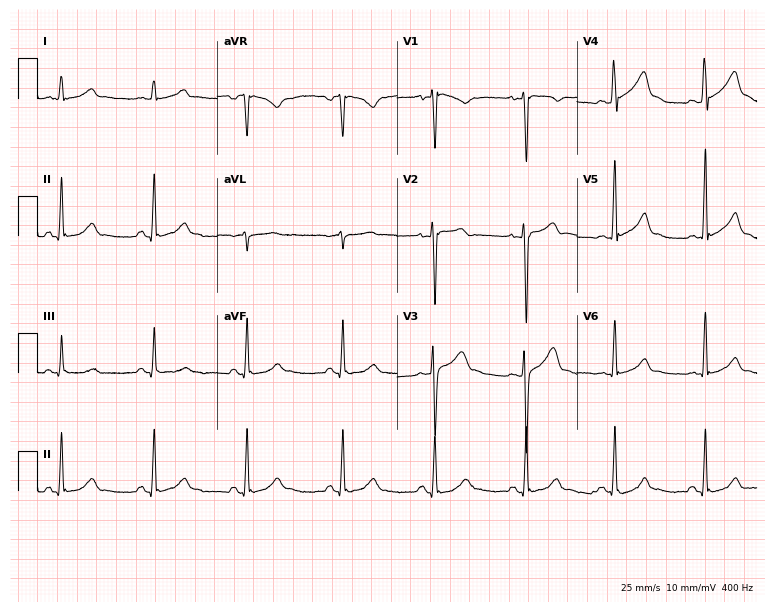
Resting 12-lead electrocardiogram. Patient: a male, 25 years old. None of these six findings is recorded: first-degree AV block, right bundle branch block, left bundle branch block, sinus bradycardia, atrial fibrillation, sinus tachycardia.